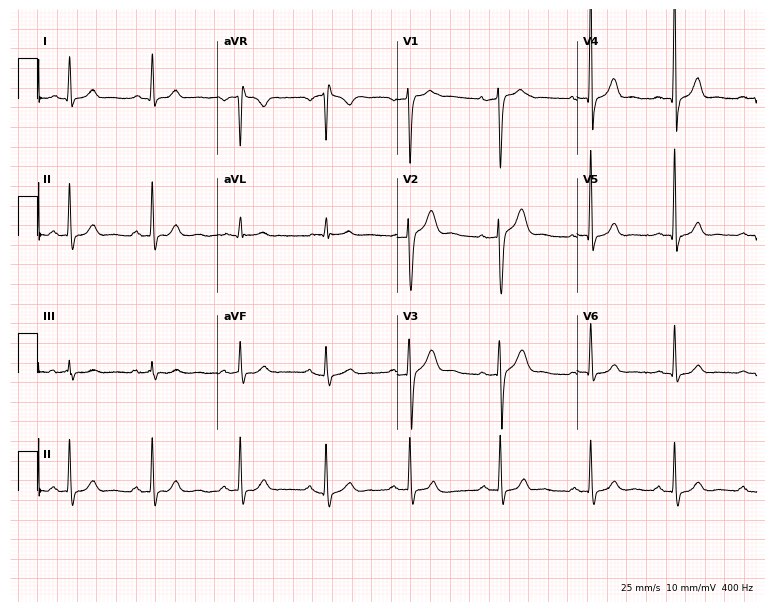
Electrocardiogram, a male patient, 30 years old. Overall reading on record: normal ECG.